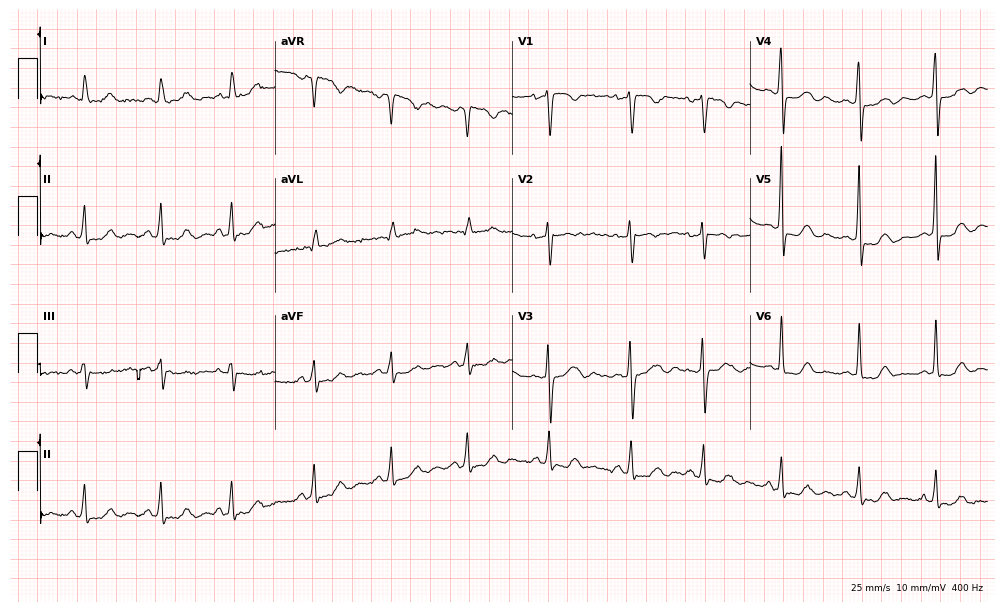
12-lead ECG from a 40-year-old woman. No first-degree AV block, right bundle branch block (RBBB), left bundle branch block (LBBB), sinus bradycardia, atrial fibrillation (AF) or sinus tachycardia recorded for this tracing. Other findings, if any, are not listed.